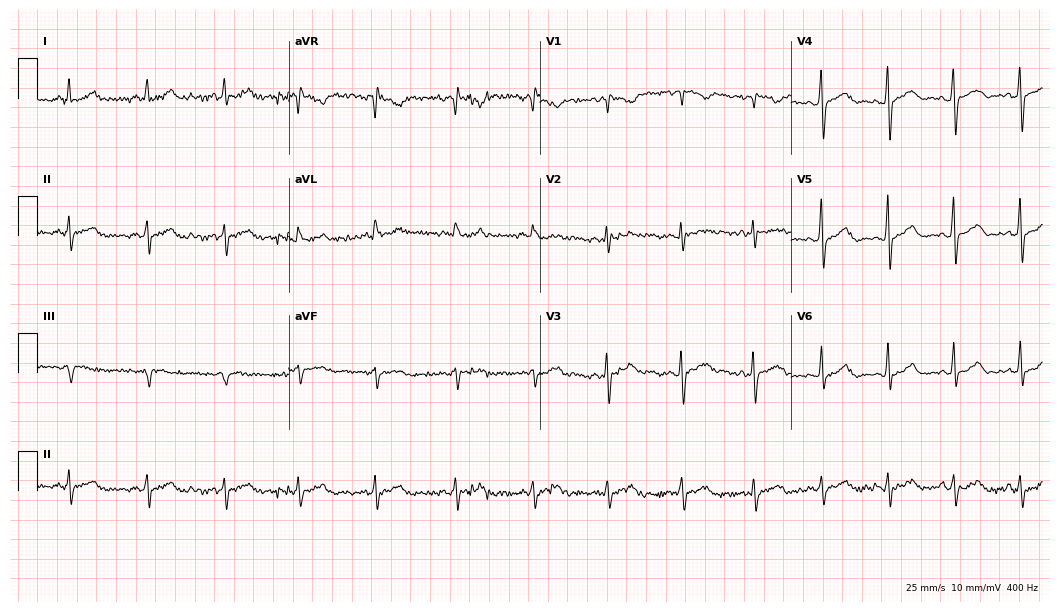
ECG (10.2-second recording at 400 Hz) — a 27-year-old woman. Screened for six findings — first-degree AV block, right bundle branch block, left bundle branch block, sinus bradycardia, atrial fibrillation, sinus tachycardia — none is recorded. Findings outside these six are not listed.